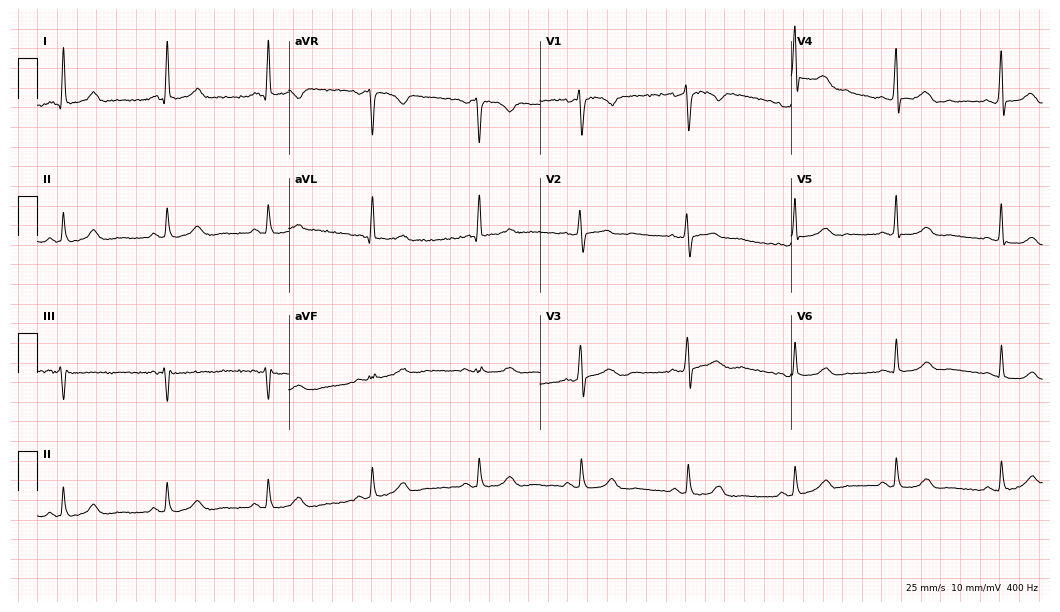
Electrocardiogram, a 51-year-old female patient. Overall reading on record: normal ECG.